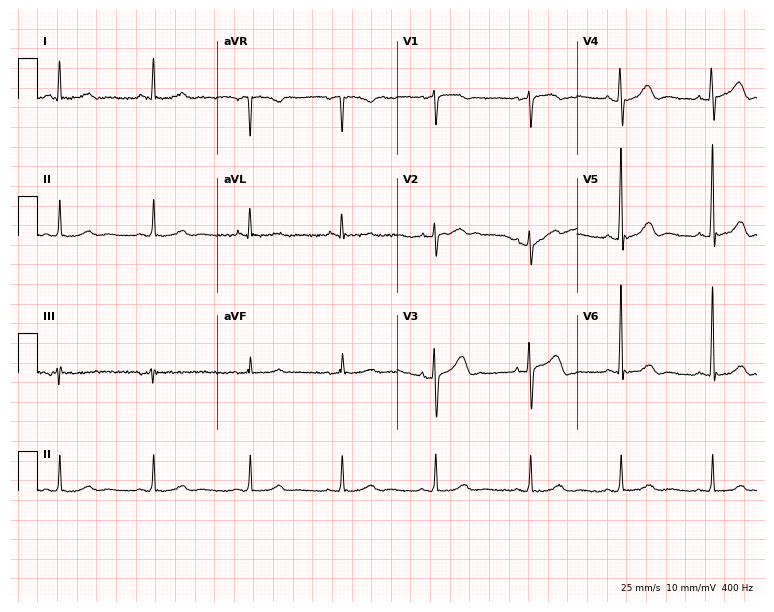
Resting 12-lead electrocardiogram (7.3-second recording at 400 Hz). Patient: a female, 57 years old. None of these six findings is recorded: first-degree AV block, right bundle branch block, left bundle branch block, sinus bradycardia, atrial fibrillation, sinus tachycardia.